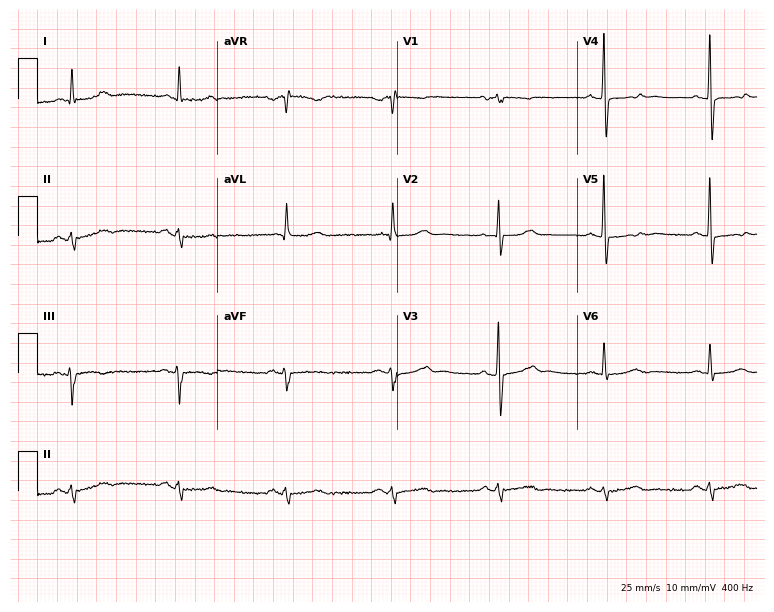
ECG (7.3-second recording at 400 Hz) — a male patient, 73 years old. Screened for six findings — first-degree AV block, right bundle branch block, left bundle branch block, sinus bradycardia, atrial fibrillation, sinus tachycardia — none is recorded.